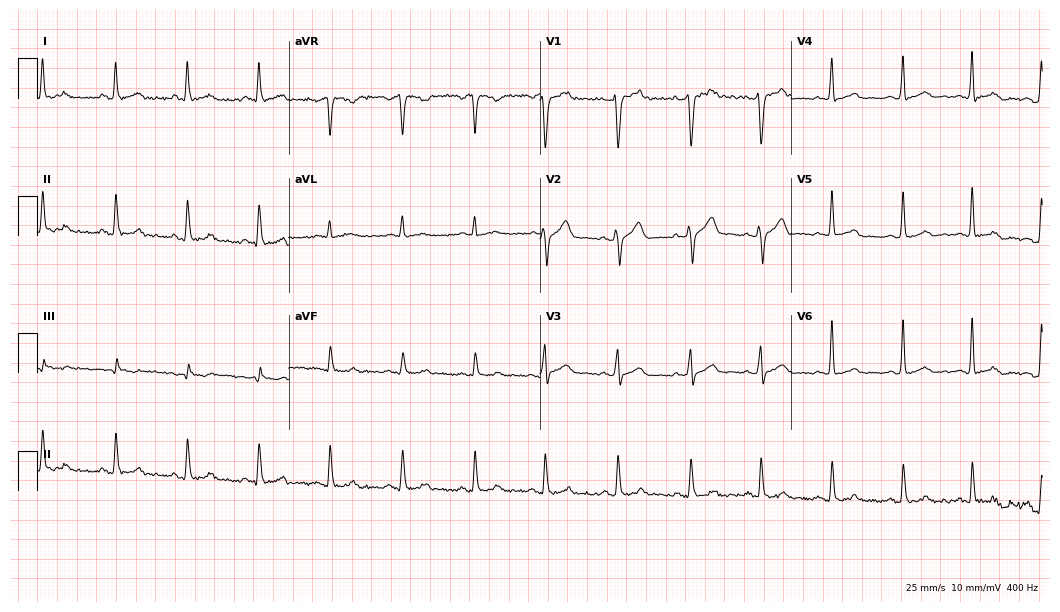
ECG (10.2-second recording at 400 Hz) — a male patient, 32 years old. Labelled as a normal ECG.